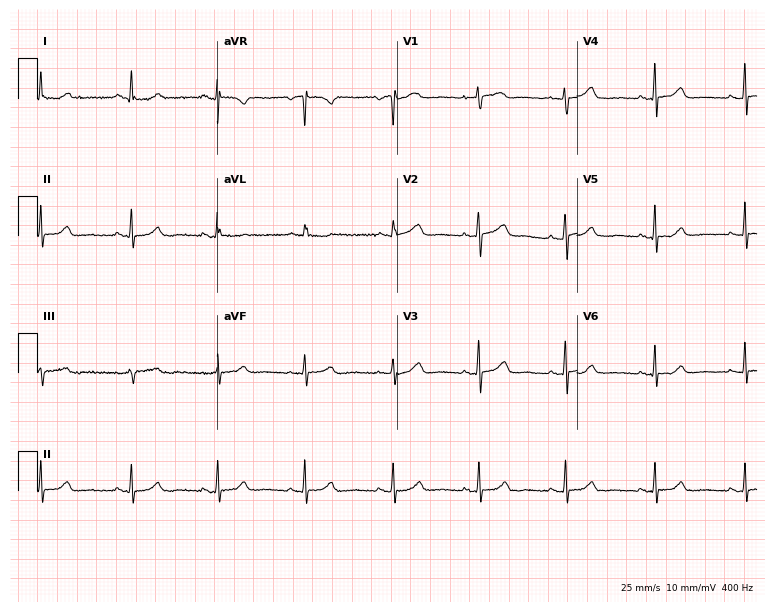
Resting 12-lead electrocardiogram (7.3-second recording at 400 Hz). Patient: a woman, 56 years old. None of these six findings is recorded: first-degree AV block, right bundle branch block (RBBB), left bundle branch block (LBBB), sinus bradycardia, atrial fibrillation (AF), sinus tachycardia. Findings outside these six are not listed.